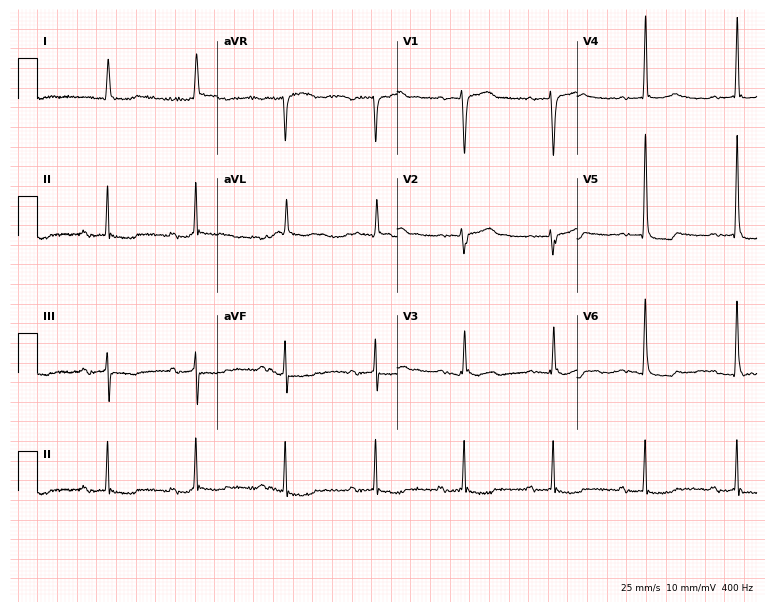
12-lead ECG (7.3-second recording at 400 Hz) from a man, 83 years old. Screened for six findings — first-degree AV block, right bundle branch block, left bundle branch block, sinus bradycardia, atrial fibrillation, sinus tachycardia — none is recorded.